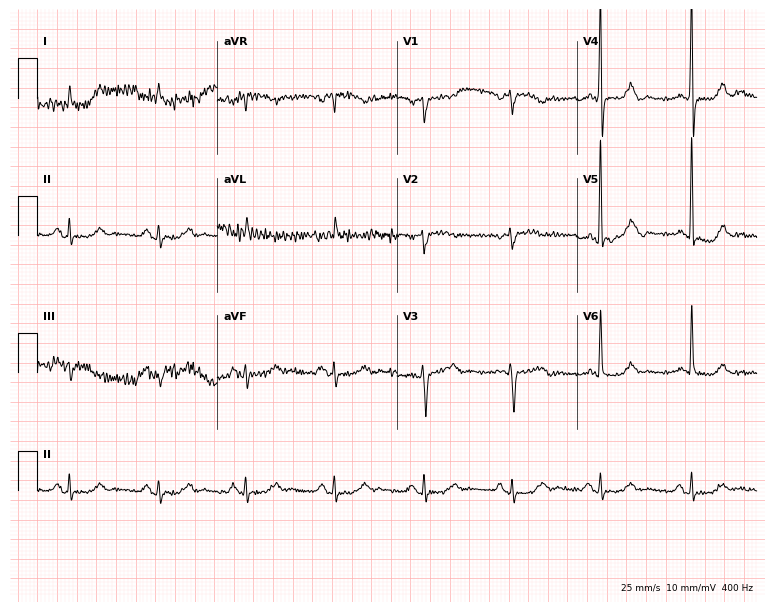
12-lead ECG from an 80-year-old female. Screened for six findings — first-degree AV block, right bundle branch block, left bundle branch block, sinus bradycardia, atrial fibrillation, sinus tachycardia — none is recorded. Other findings, if any, are not listed.